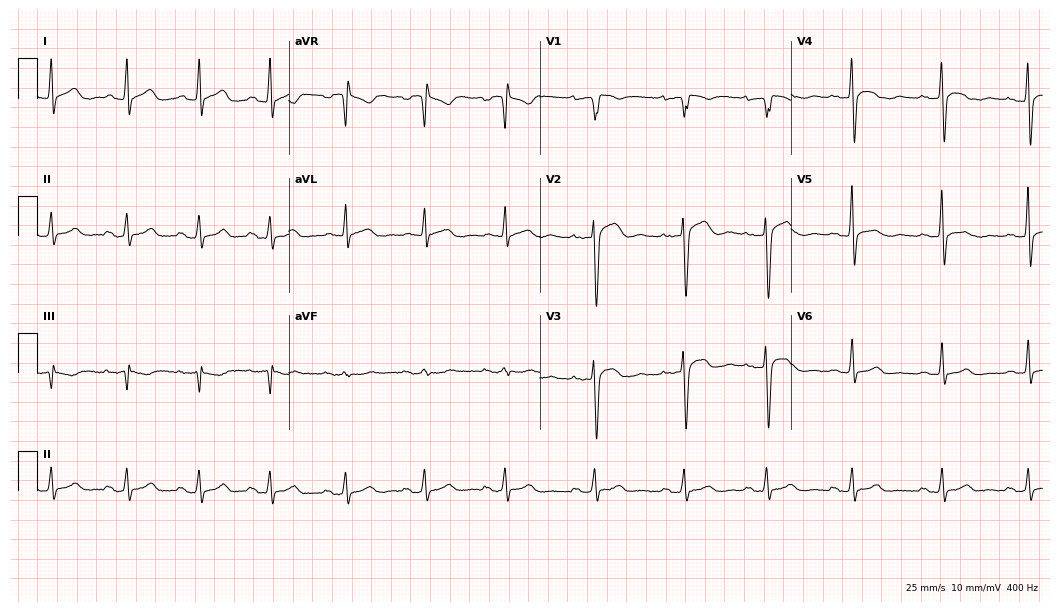
12-lead ECG from a 33-year-old male patient. Labelled as a normal ECG.